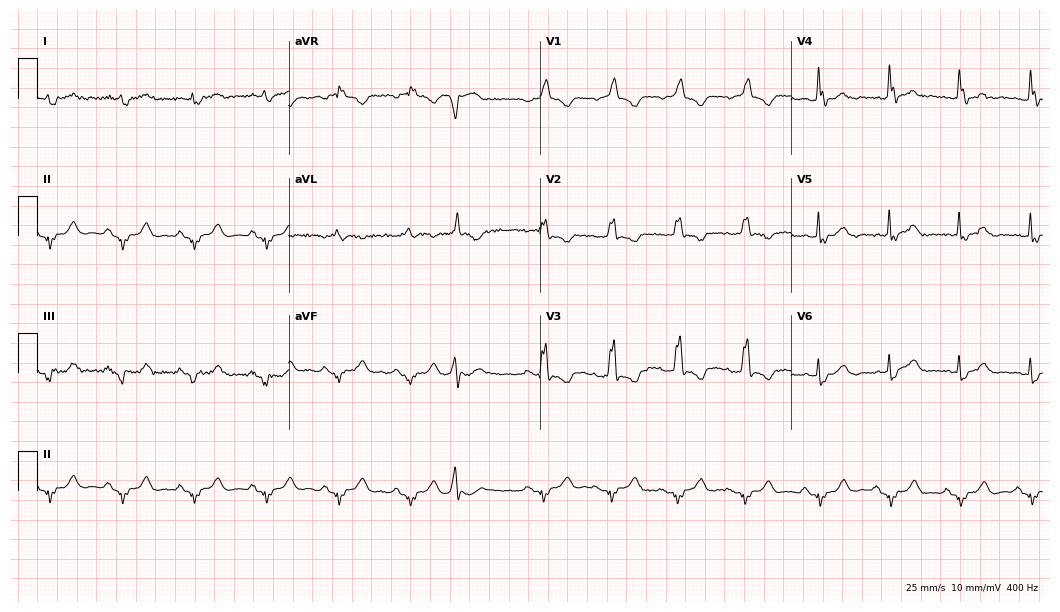
12-lead ECG from an 84-year-old male. Shows right bundle branch block.